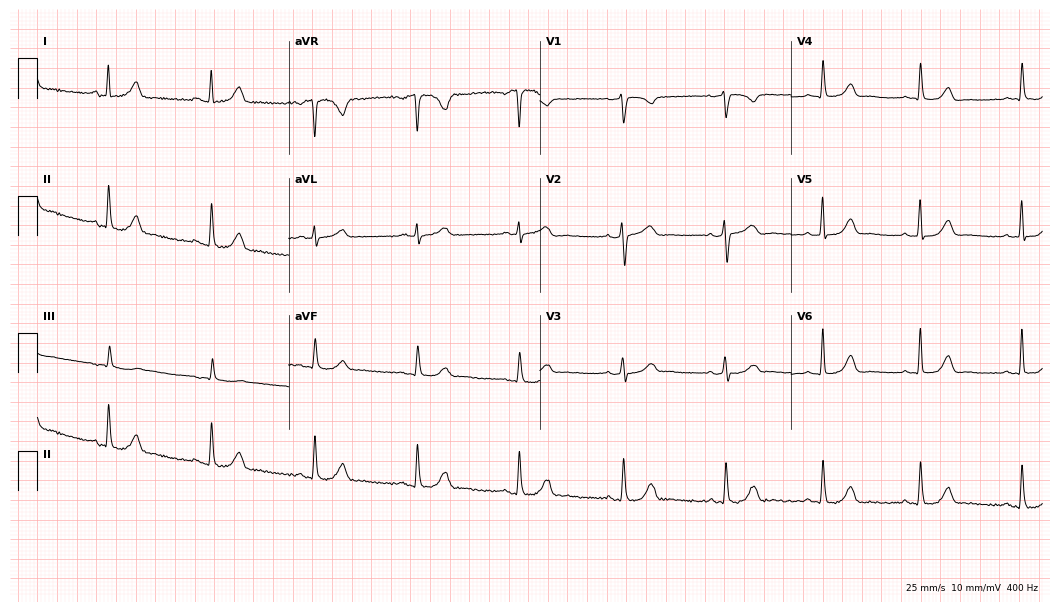
Standard 12-lead ECG recorded from a 41-year-old woman. Read as a normal ECG.